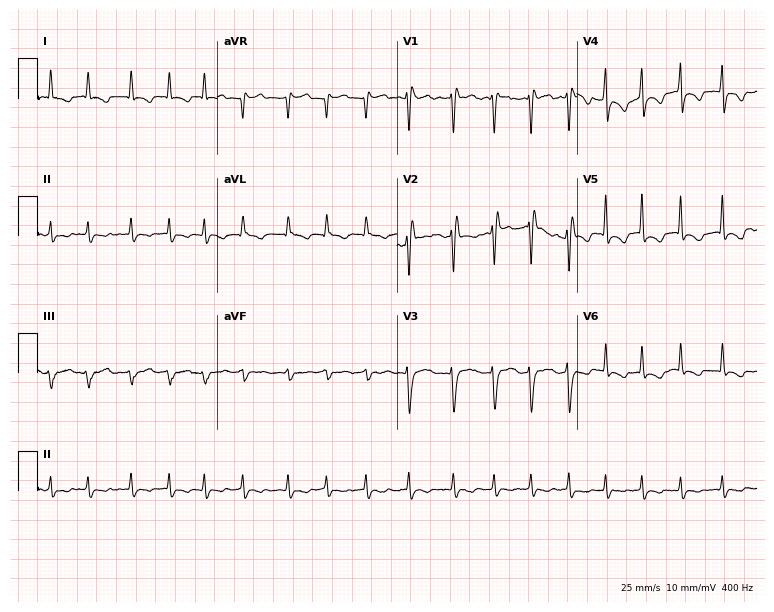
Standard 12-lead ECG recorded from a woman, 66 years old. None of these six findings is recorded: first-degree AV block, right bundle branch block, left bundle branch block, sinus bradycardia, atrial fibrillation, sinus tachycardia.